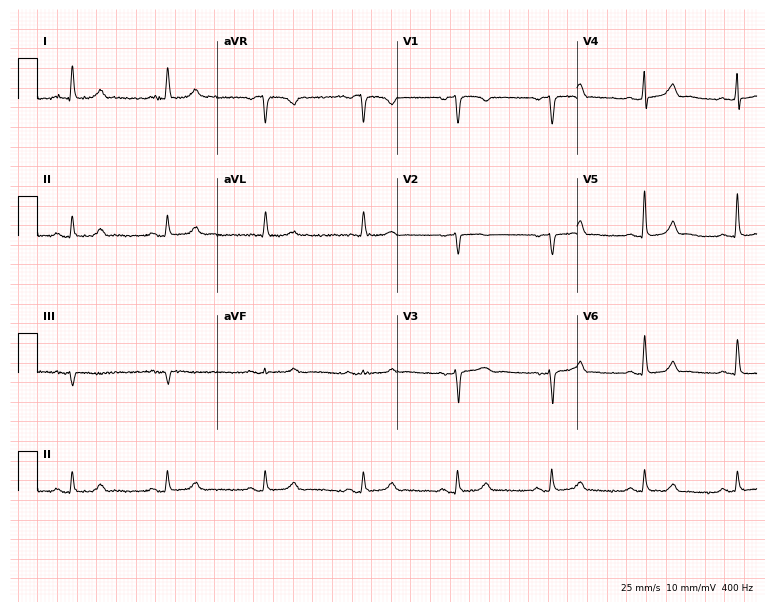
ECG — a 49-year-old woman. Labelled as a normal ECG.